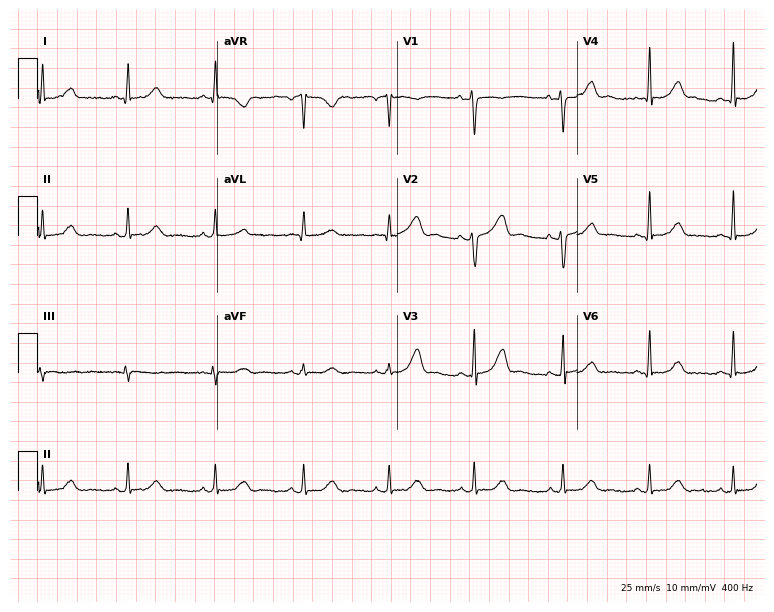
ECG (7.3-second recording at 400 Hz) — a female patient, 36 years old. Labelled as a normal ECG.